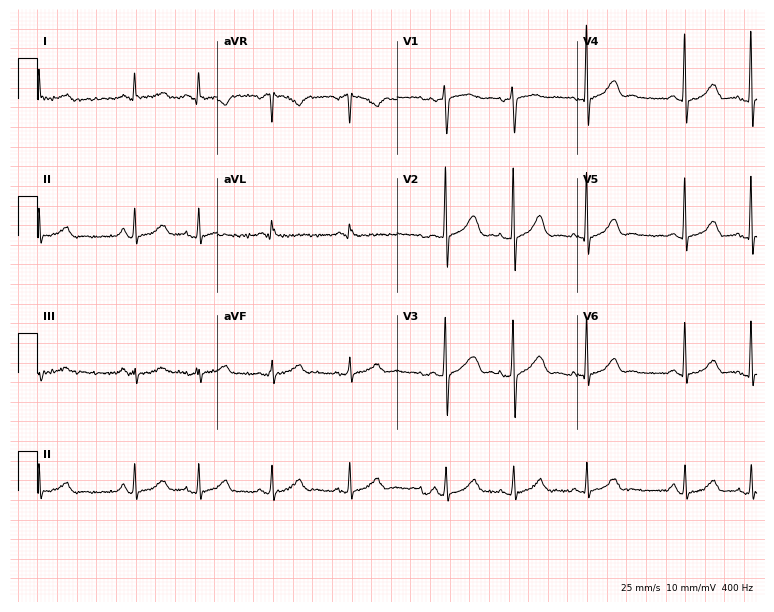
Resting 12-lead electrocardiogram. Patient: a 68-year-old female. Read as a normal ECG.